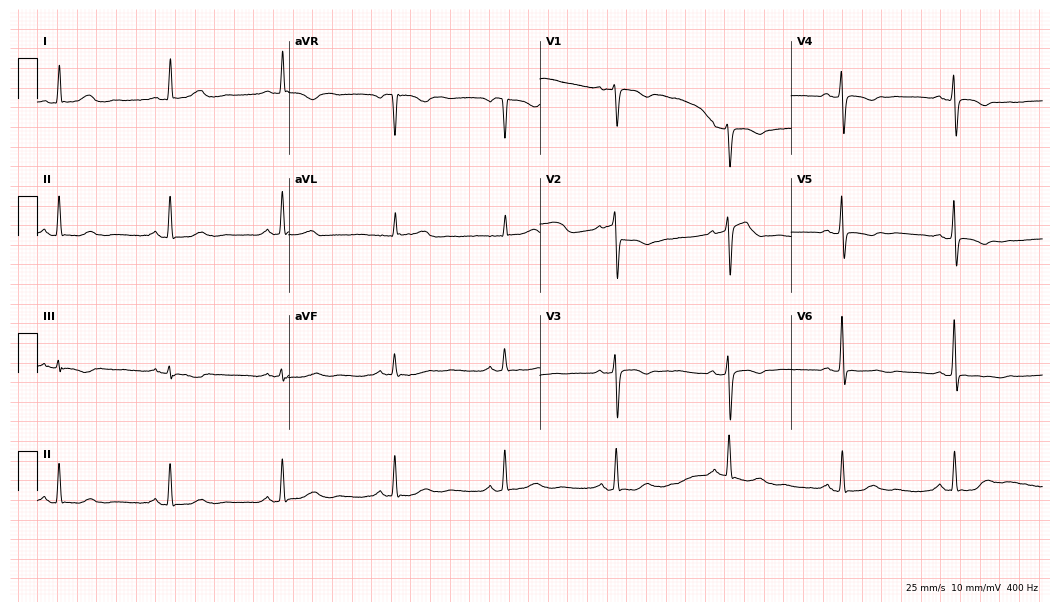
ECG (10.2-second recording at 400 Hz) — a female, 74 years old. Screened for six findings — first-degree AV block, right bundle branch block, left bundle branch block, sinus bradycardia, atrial fibrillation, sinus tachycardia — none is recorded. Other findings, if any, are not listed.